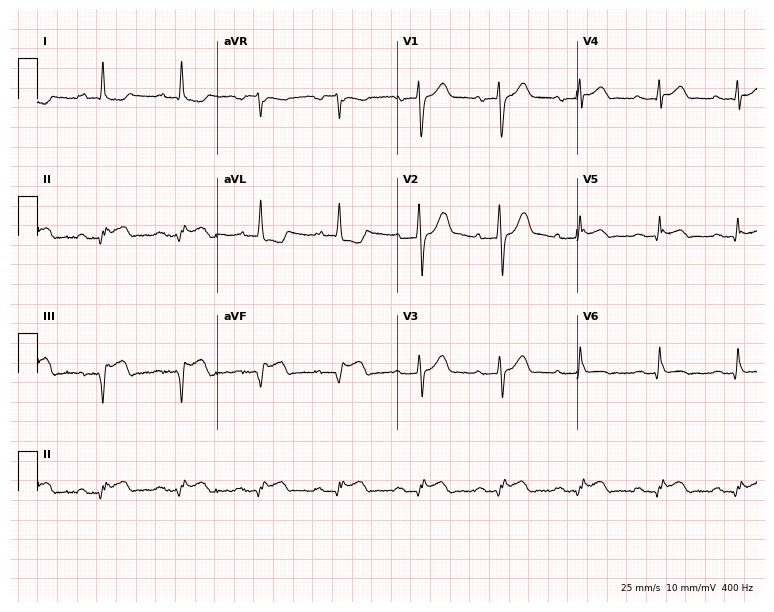
Standard 12-lead ECG recorded from a 66-year-old male. None of these six findings is recorded: first-degree AV block, right bundle branch block (RBBB), left bundle branch block (LBBB), sinus bradycardia, atrial fibrillation (AF), sinus tachycardia. Other findings, if any, are not listed.